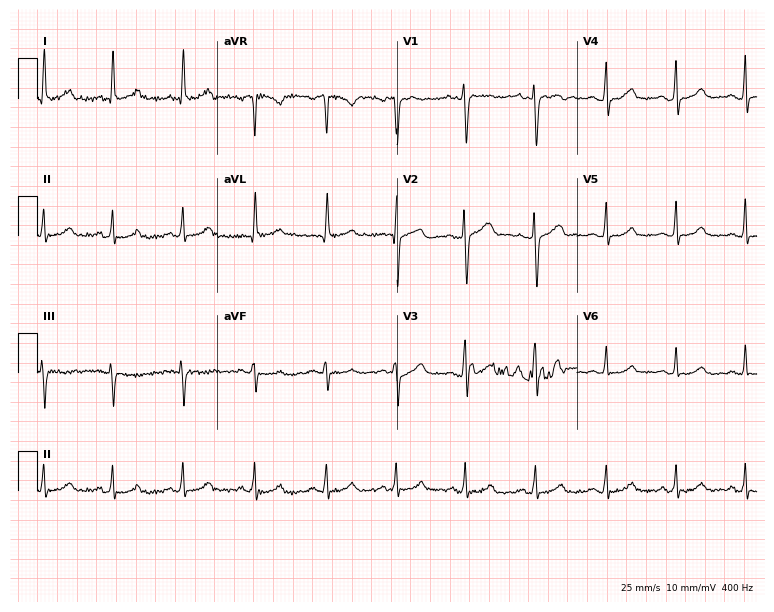
Resting 12-lead electrocardiogram. Patient: a 42-year-old female. None of these six findings is recorded: first-degree AV block, right bundle branch block (RBBB), left bundle branch block (LBBB), sinus bradycardia, atrial fibrillation (AF), sinus tachycardia. Other findings, if any, are not listed.